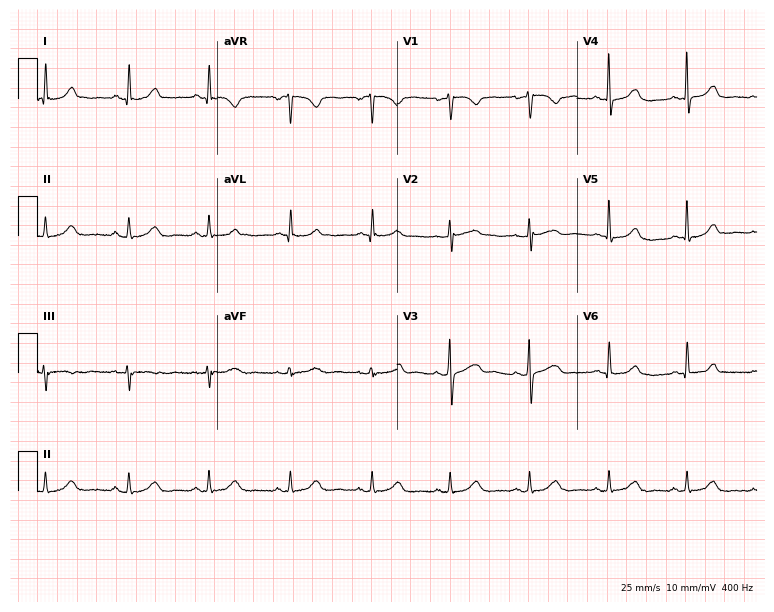
Electrocardiogram, a 35-year-old female patient. Overall reading on record: normal ECG.